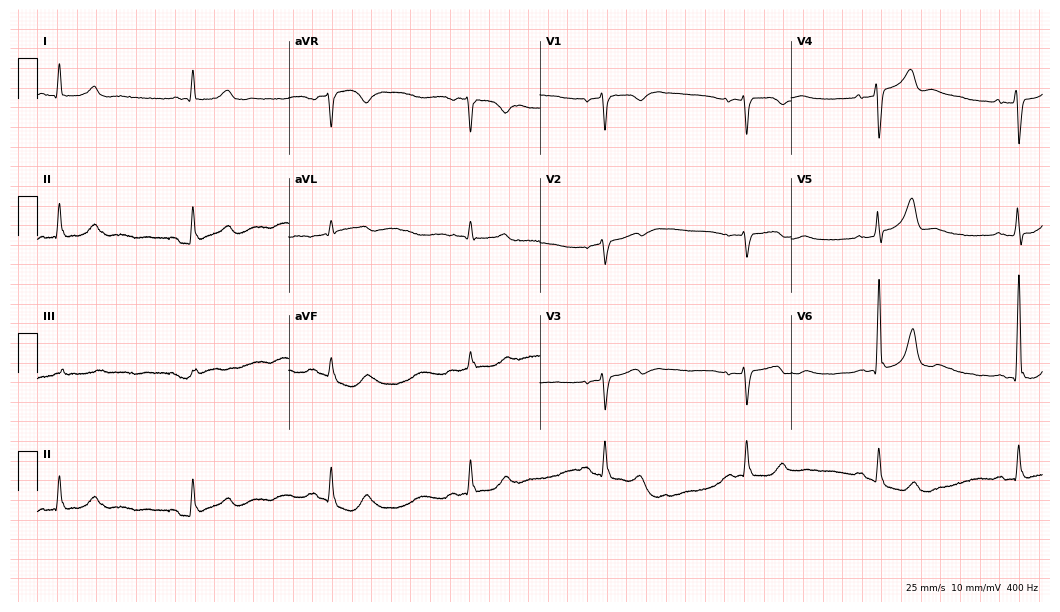
12-lead ECG from a man, 71 years old. Shows sinus bradycardia (a sinus rate of 50 beats per minute or less).